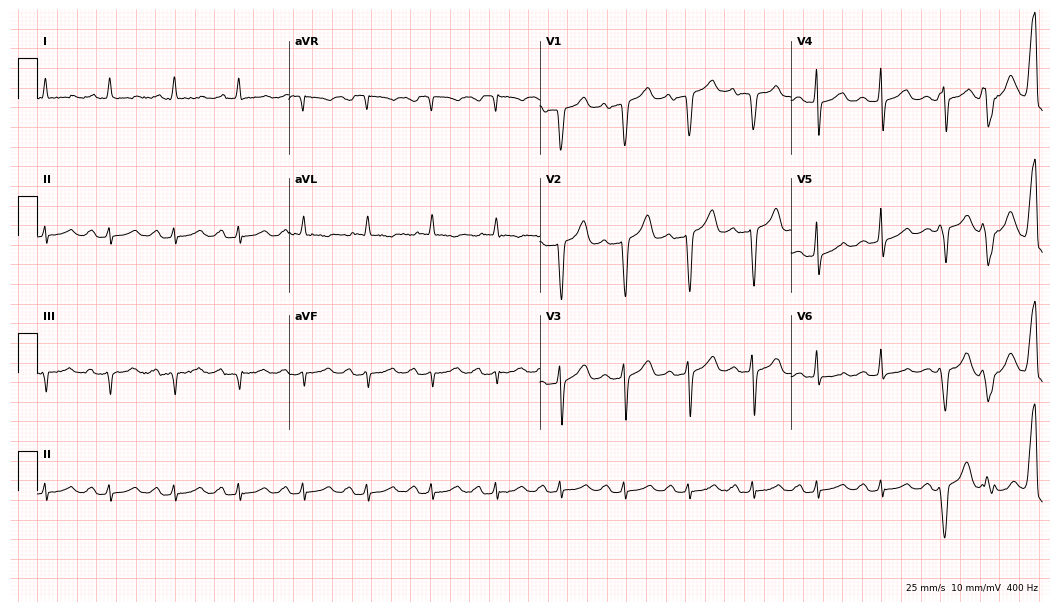
ECG — an 85-year-old male patient. Findings include first-degree AV block.